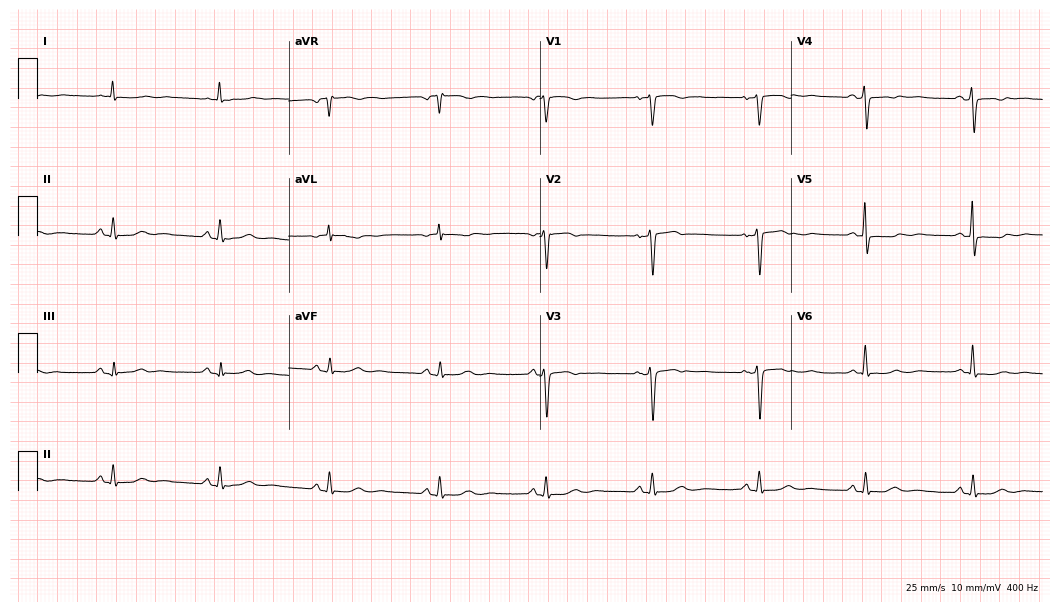
Resting 12-lead electrocardiogram (10.2-second recording at 400 Hz). Patient: a female, 64 years old. None of these six findings is recorded: first-degree AV block, right bundle branch block, left bundle branch block, sinus bradycardia, atrial fibrillation, sinus tachycardia.